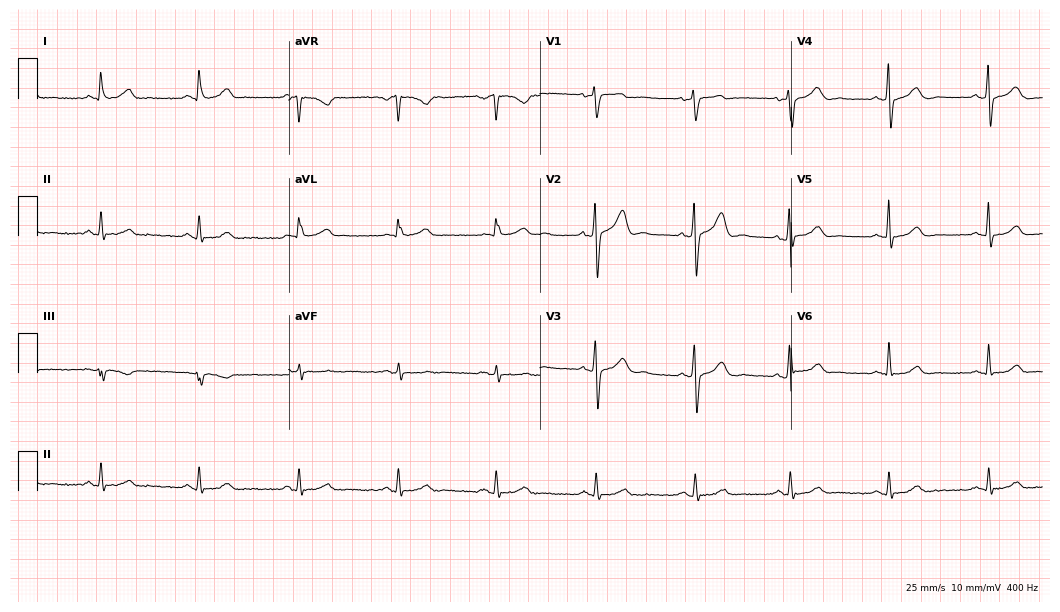
Standard 12-lead ECG recorded from a 45-year-old male patient. Read as a normal ECG.